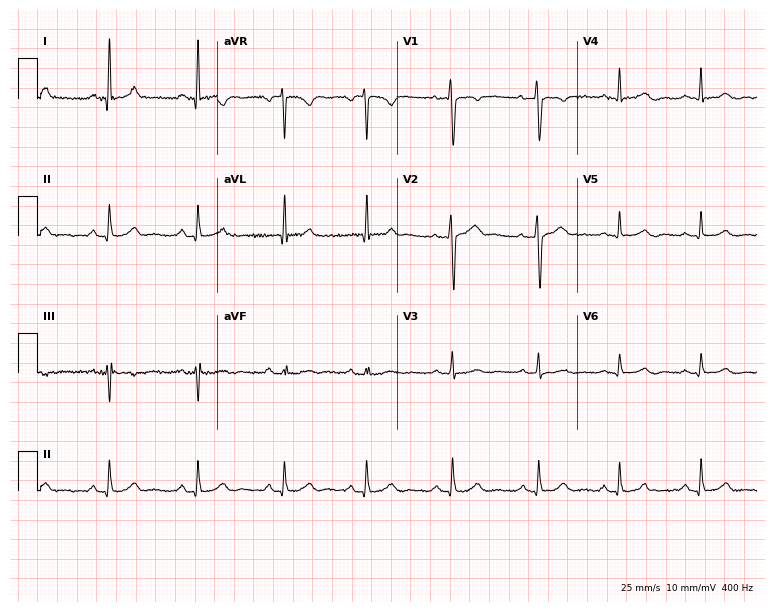
Resting 12-lead electrocardiogram. Patient: a female, 37 years old. None of these six findings is recorded: first-degree AV block, right bundle branch block, left bundle branch block, sinus bradycardia, atrial fibrillation, sinus tachycardia.